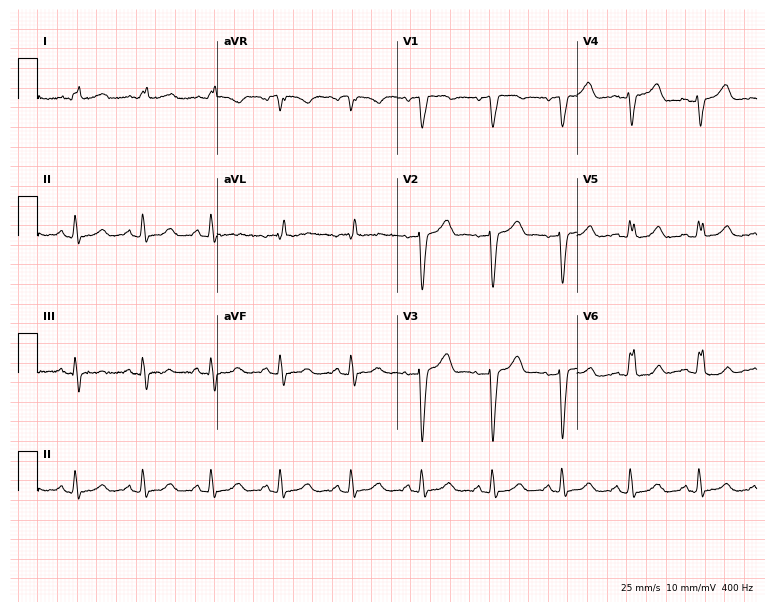
12-lead ECG (7.3-second recording at 400 Hz) from a 65-year-old woman. Screened for six findings — first-degree AV block, right bundle branch block, left bundle branch block, sinus bradycardia, atrial fibrillation, sinus tachycardia — none is recorded. Other findings, if any, are not listed.